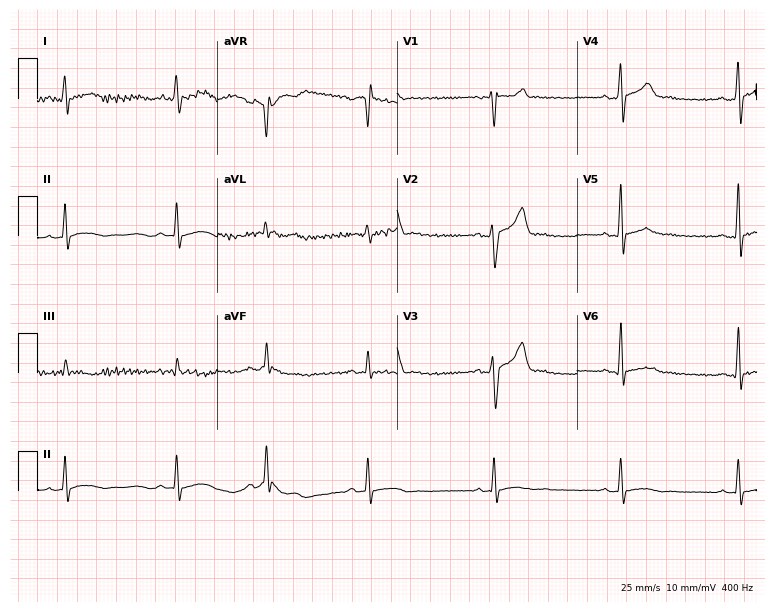
Resting 12-lead electrocardiogram (7.3-second recording at 400 Hz). Patient: a 24-year-old male. None of these six findings is recorded: first-degree AV block, right bundle branch block, left bundle branch block, sinus bradycardia, atrial fibrillation, sinus tachycardia. Findings outside these six are not listed.